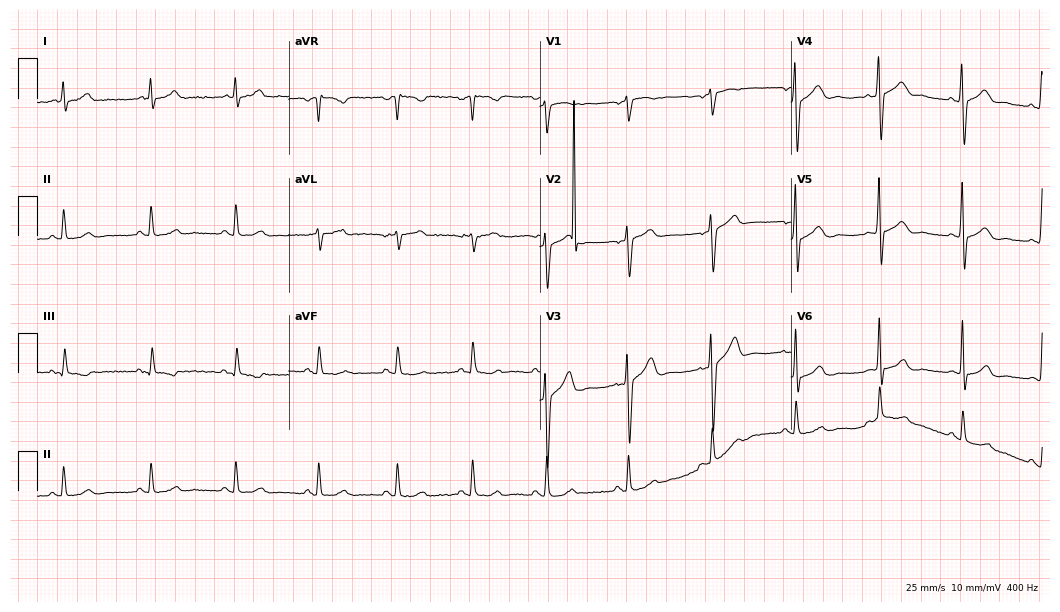
12-lead ECG from a male patient, 47 years old. Recorded interpretation: within normal limits.